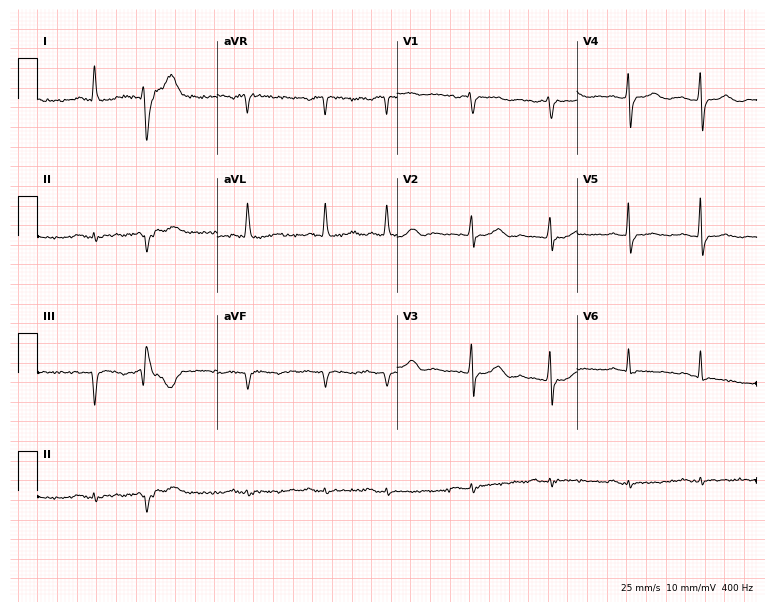
12-lead ECG from a 78-year-old female. Screened for six findings — first-degree AV block, right bundle branch block (RBBB), left bundle branch block (LBBB), sinus bradycardia, atrial fibrillation (AF), sinus tachycardia — none is recorded.